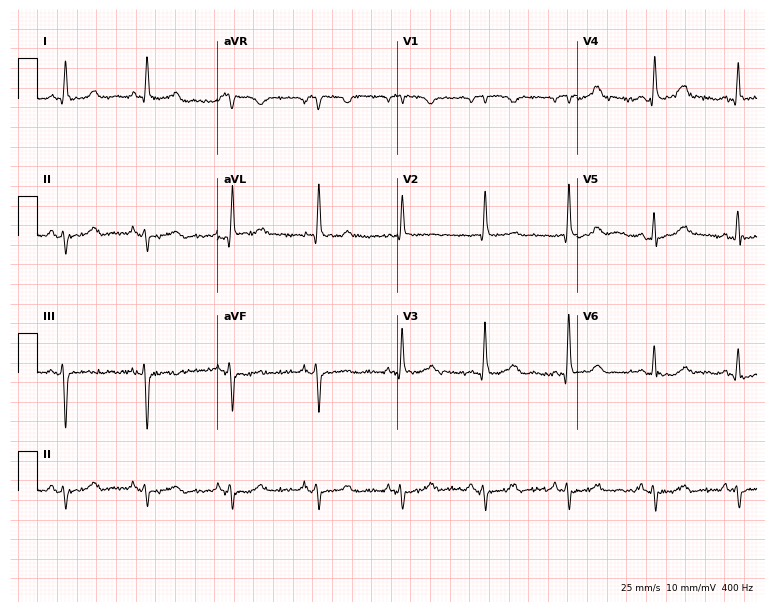
Standard 12-lead ECG recorded from an 84-year-old male. None of these six findings is recorded: first-degree AV block, right bundle branch block (RBBB), left bundle branch block (LBBB), sinus bradycardia, atrial fibrillation (AF), sinus tachycardia. Other findings, if any, are not listed.